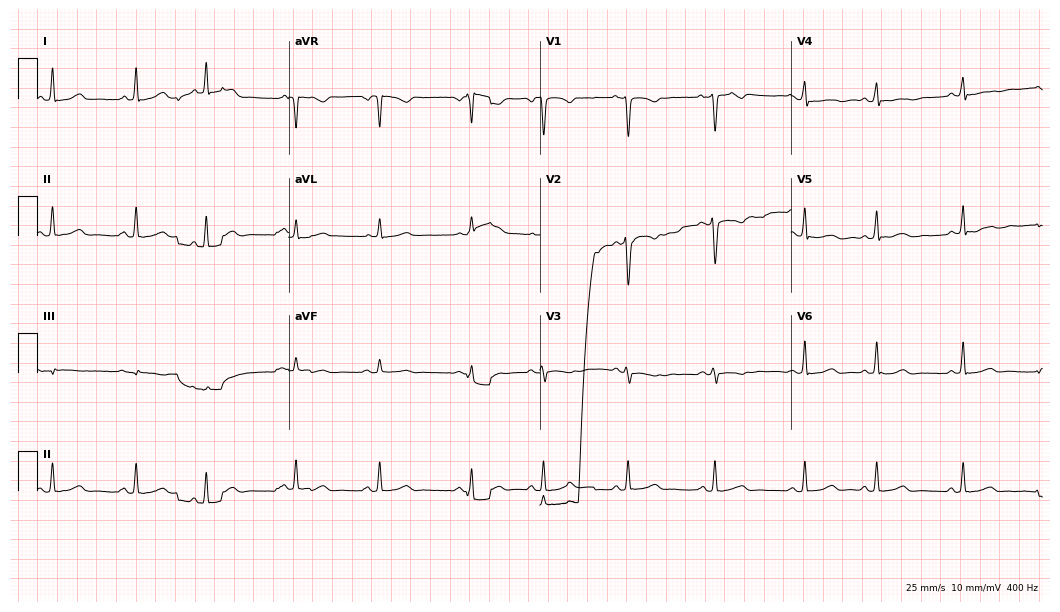
12-lead ECG from a 38-year-old female patient. Labelled as a normal ECG.